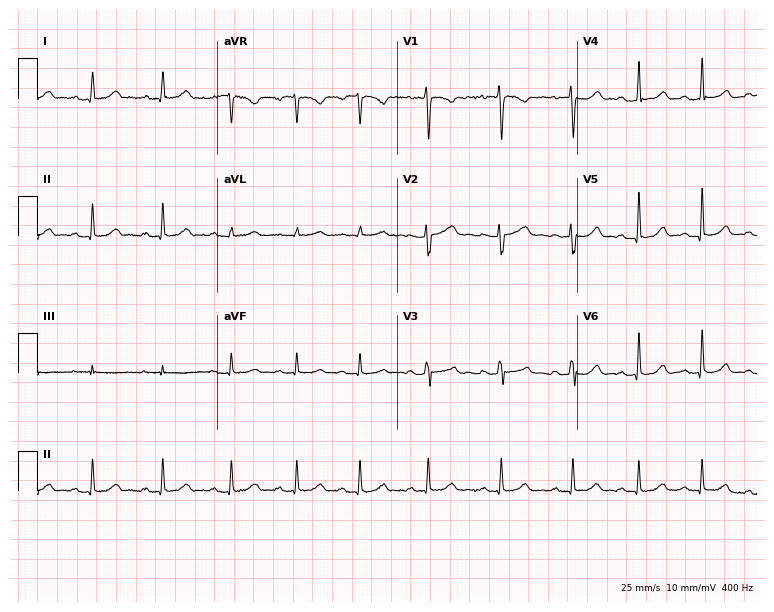
Electrocardiogram, a 20-year-old woman. Overall reading on record: normal ECG.